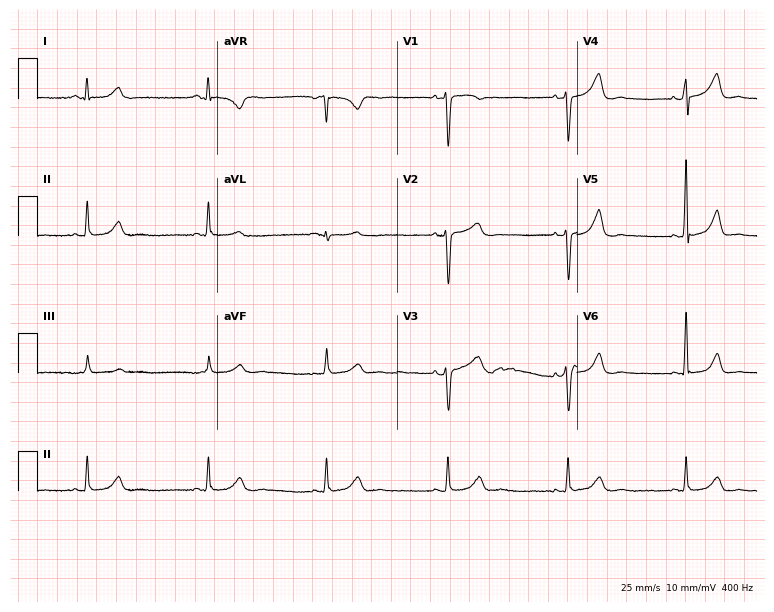
Standard 12-lead ECG recorded from a 50-year-old female (7.3-second recording at 400 Hz). The tracing shows sinus bradycardia (a sinus rate of 50 beats per minute or less).